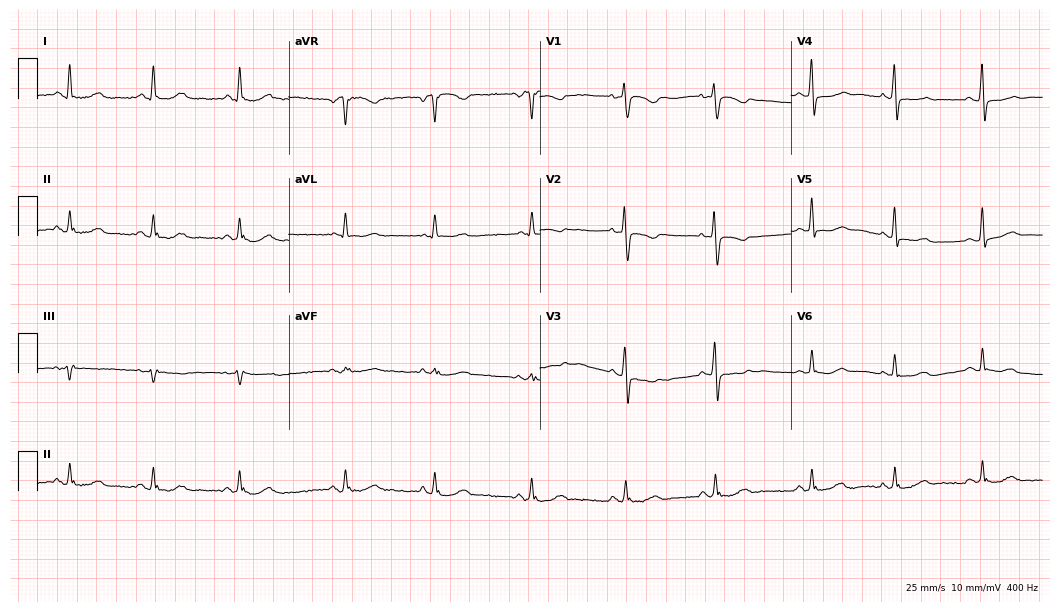
ECG (10.2-second recording at 400 Hz) — a woman, 74 years old. Screened for six findings — first-degree AV block, right bundle branch block, left bundle branch block, sinus bradycardia, atrial fibrillation, sinus tachycardia — none is recorded. Other findings, if any, are not listed.